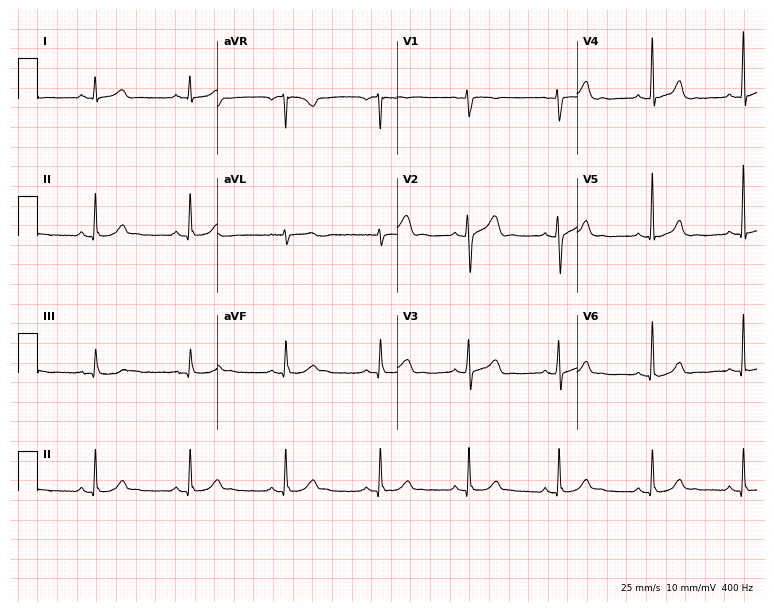
12-lead ECG from a female, 31 years old. Recorded interpretation: within normal limits.